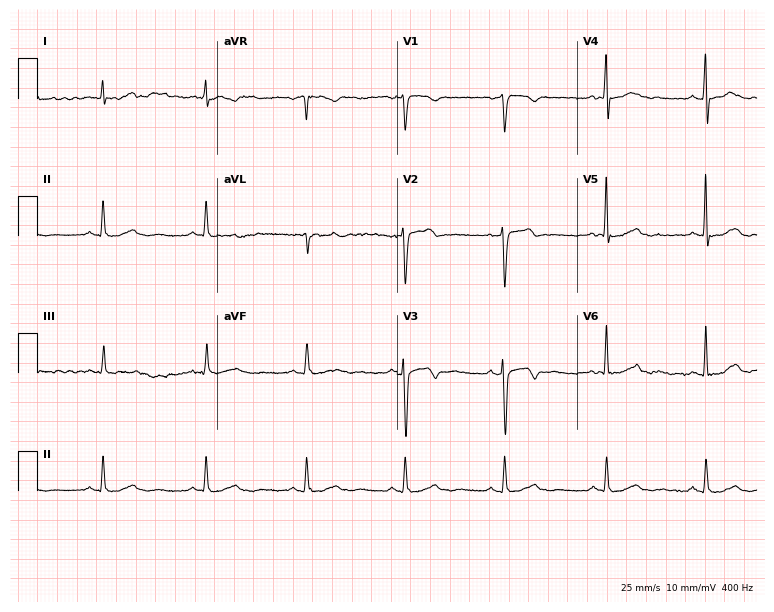
Resting 12-lead electrocardiogram. Patient: a 36-year-old man. Read as a normal ECG.